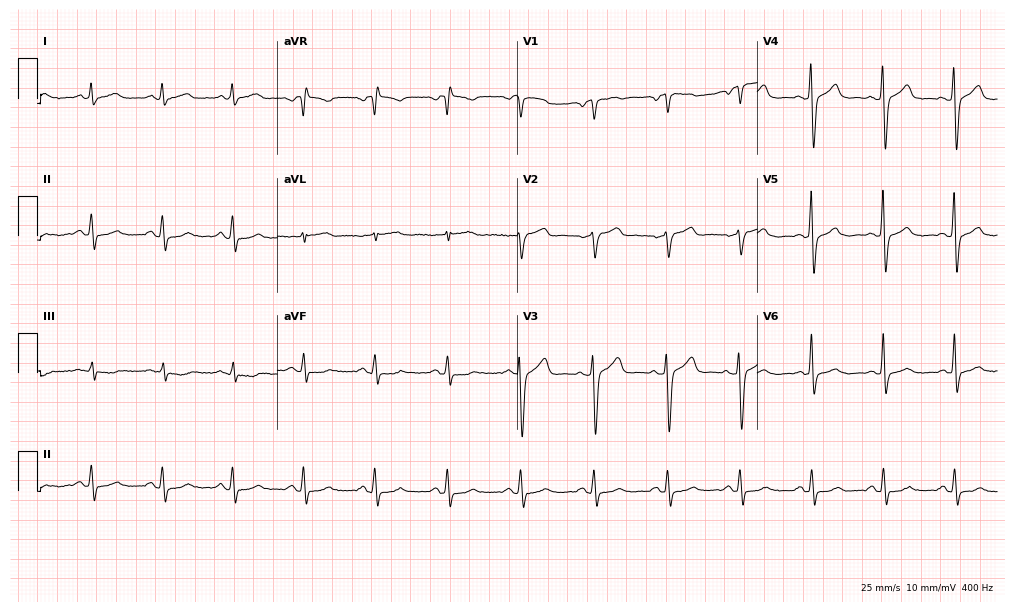
Resting 12-lead electrocardiogram. Patient: a male, 61 years old. Read as a normal ECG.